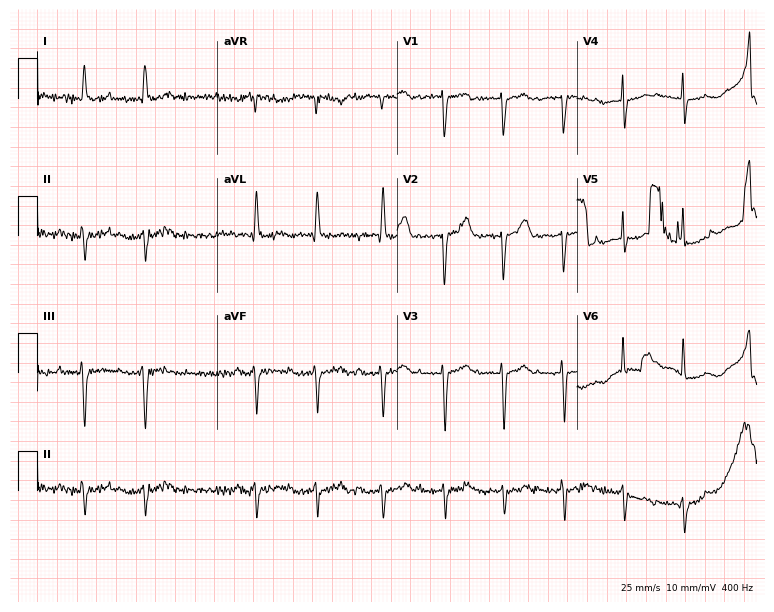
Standard 12-lead ECG recorded from a female, 84 years old (7.3-second recording at 400 Hz). None of these six findings is recorded: first-degree AV block, right bundle branch block (RBBB), left bundle branch block (LBBB), sinus bradycardia, atrial fibrillation (AF), sinus tachycardia. Other findings, if any, are not listed.